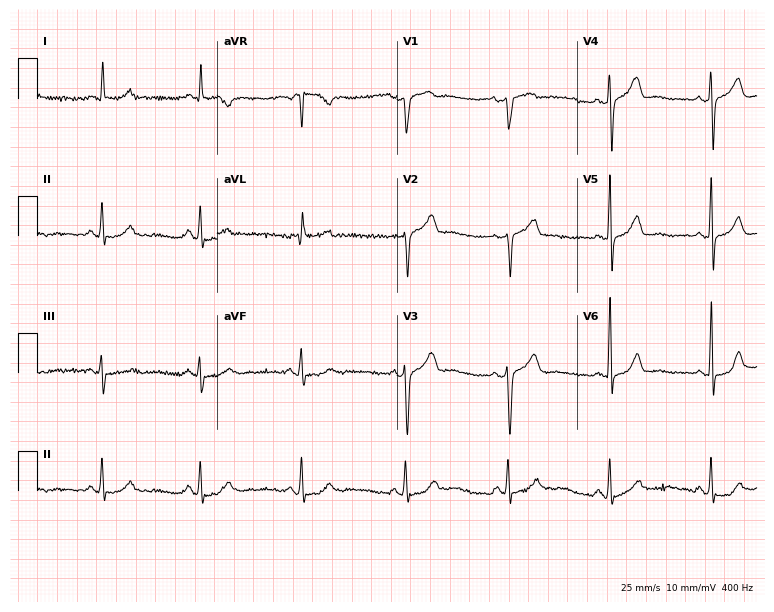
Resting 12-lead electrocardiogram. Patient: a man, 81 years old. Read as a normal ECG.